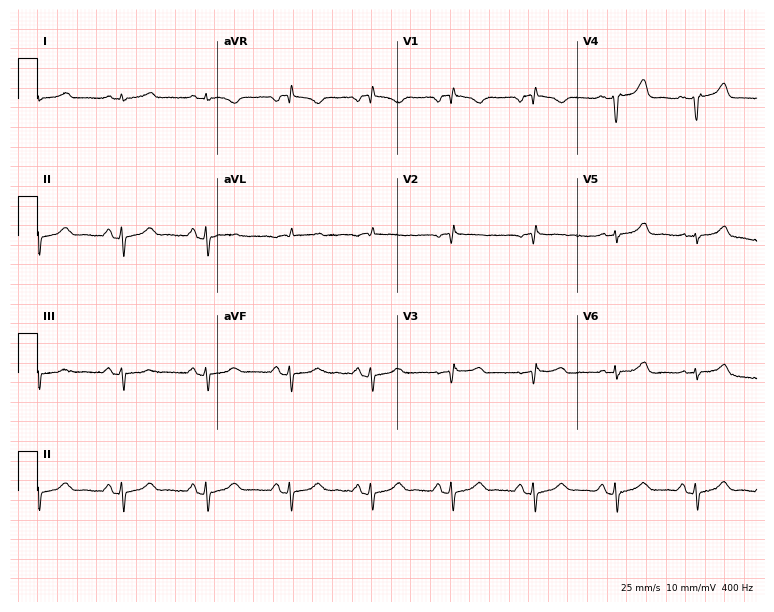
Electrocardiogram, a female, 70 years old. Of the six screened findings (first-degree AV block, right bundle branch block (RBBB), left bundle branch block (LBBB), sinus bradycardia, atrial fibrillation (AF), sinus tachycardia), none is recorded. Other findings, if any, are not listed.